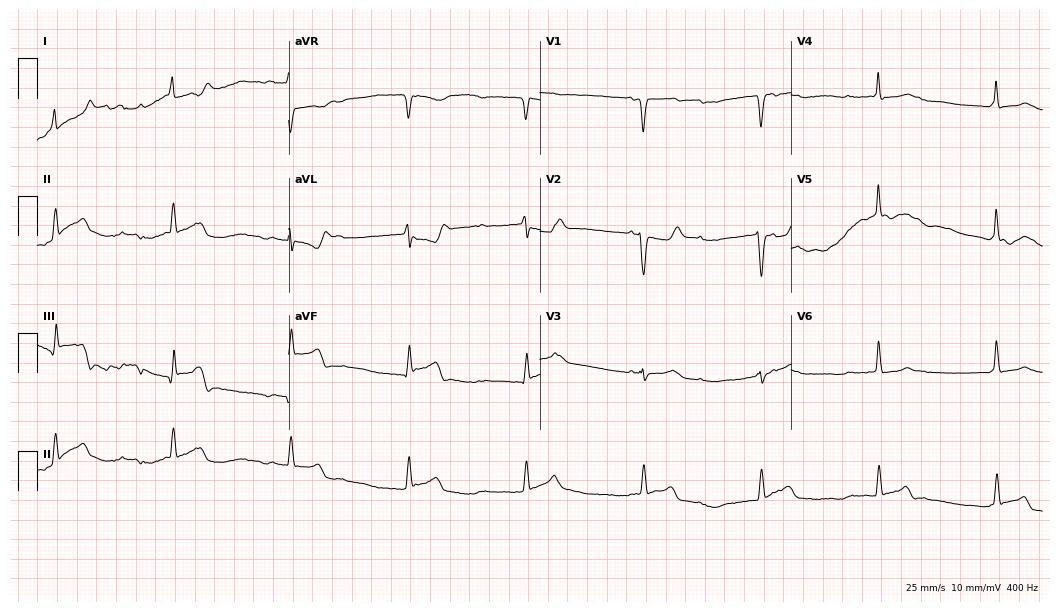
Standard 12-lead ECG recorded from a 60-year-old female patient. The tracing shows first-degree AV block.